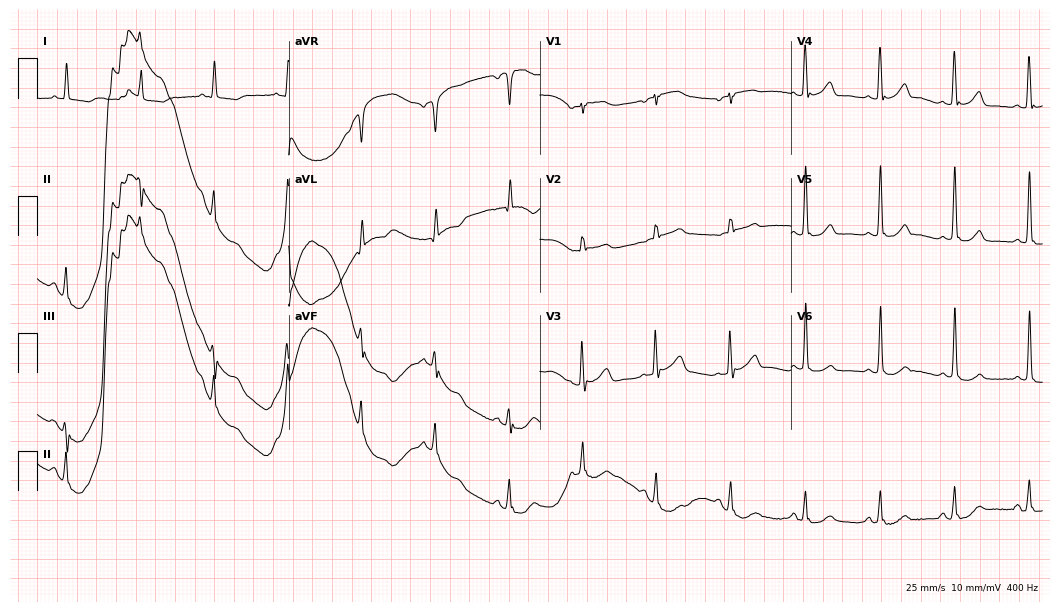
Standard 12-lead ECG recorded from an 81-year-old female (10.2-second recording at 400 Hz). None of these six findings is recorded: first-degree AV block, right bundle branch block, left bundle branch block, sinus bradycardia, atrial fibrillation, sinus tachycardia.